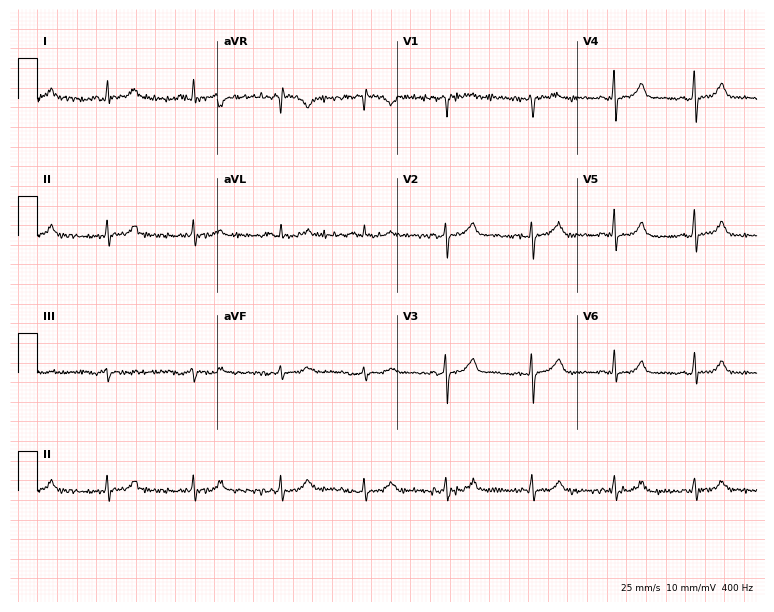
Resting 12-lead electrocardiogram (7.3-second recording at 400 Hz). Patient: a woman, 51 years old. Read as a normal ECG.